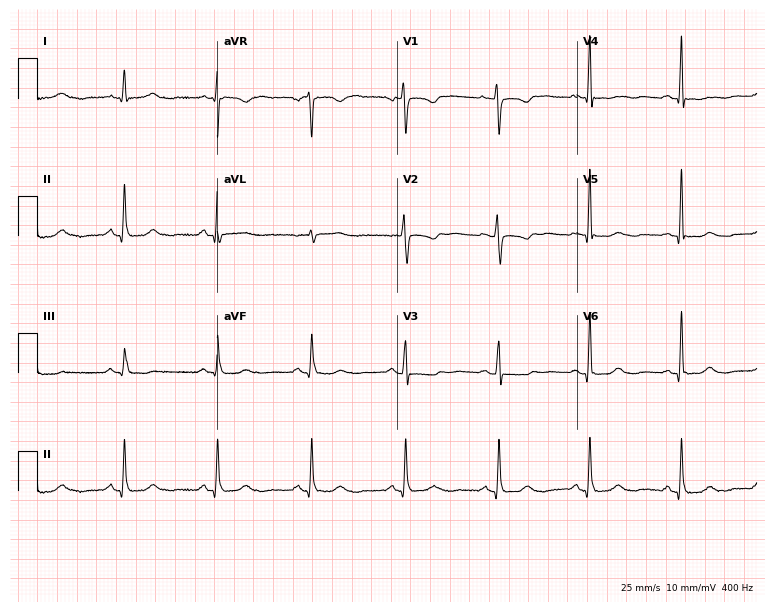
12-lead ECG (7.3-second recording at 400 Hz) from a 43-year-old woman. Labelled as a normal ECG.